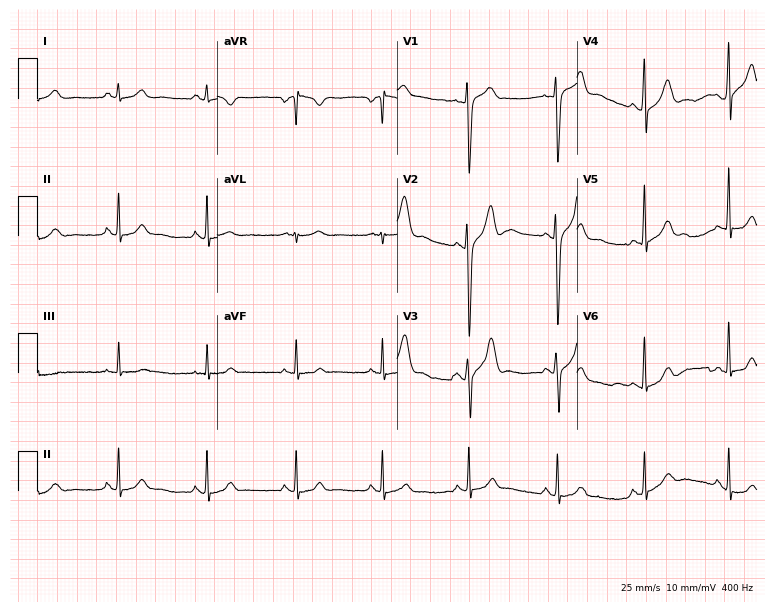
Electrocardiogram (7.3-second recording at 400 Hz), a male patient, 45 years old. Overall reading on record: normal ECG.